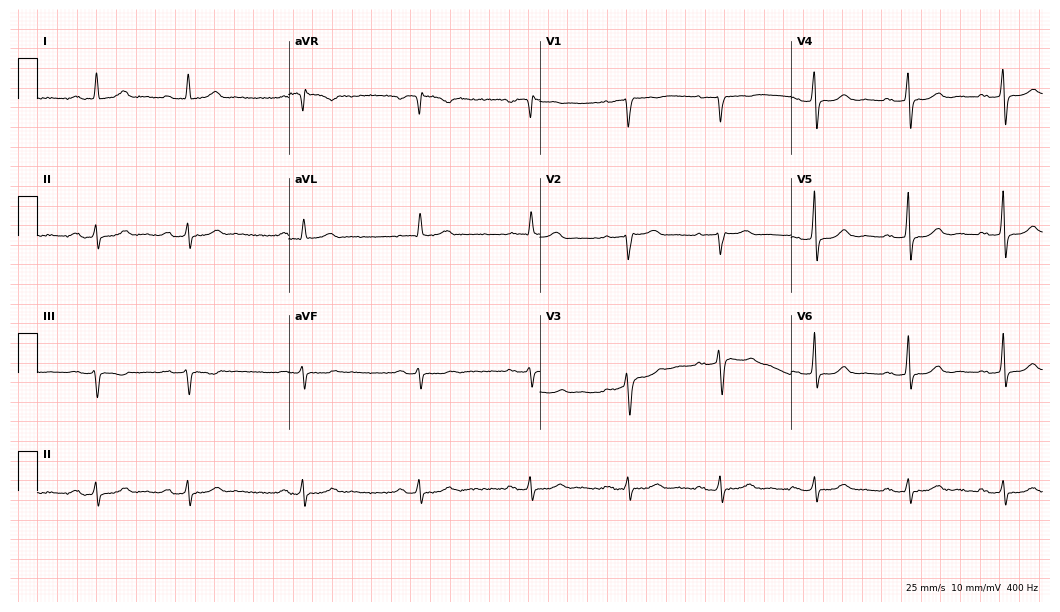
ECG — a 61-year-old female. Screened for six findings — first-degree AV block, right bundle branch block, left bundle branch block, sinus bradycardia, atrial fibrillation, sinus tachycardia — none is recorded.